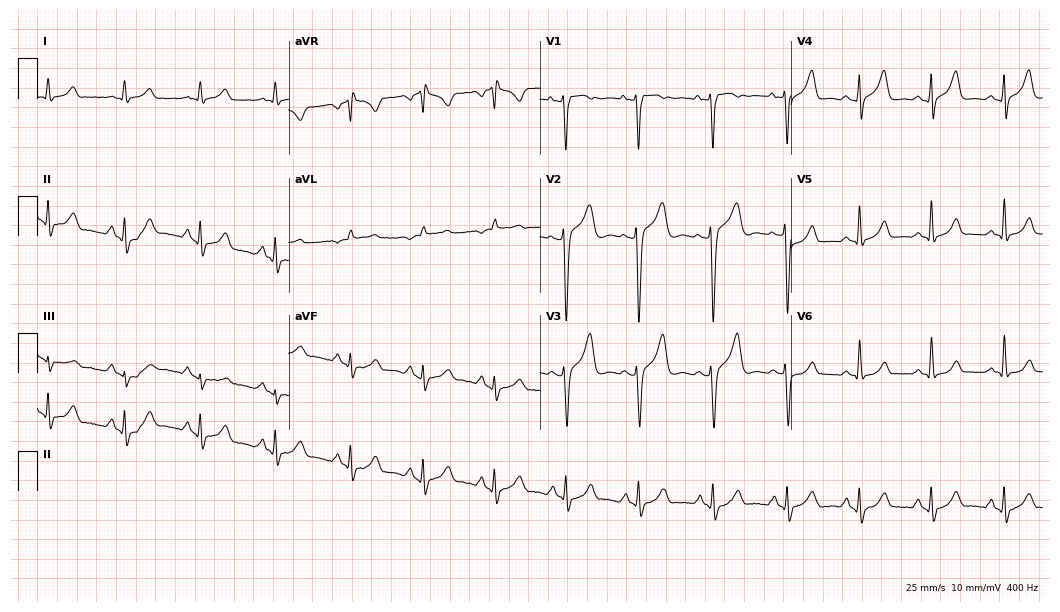
12-lead ECG from a male, 40 years old. Labelled as a normal ECG.